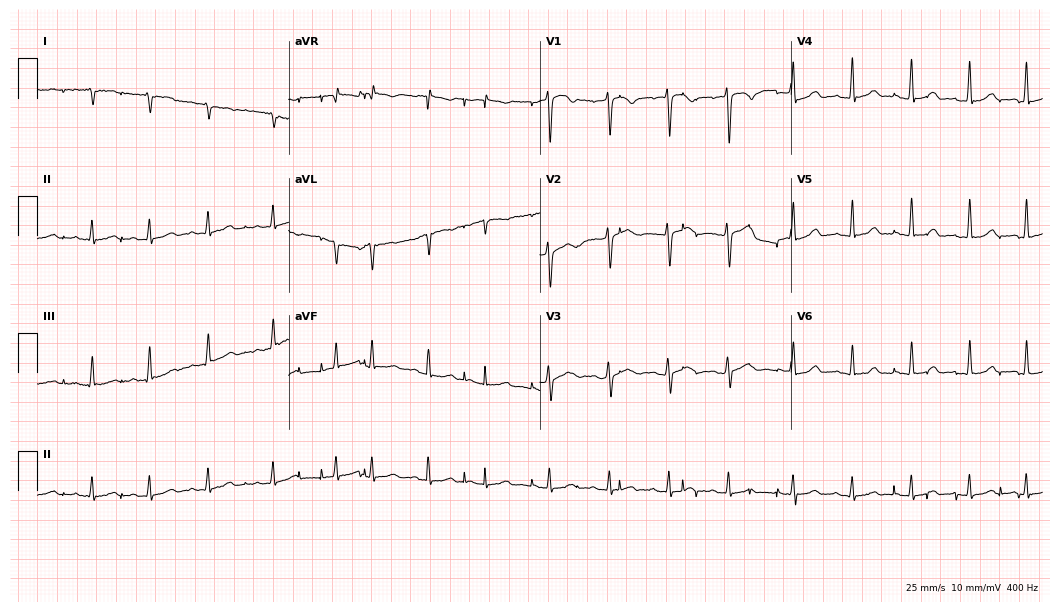
Standard 12-lead ECG recorded from a 33-year-old female patient. None of these six findings is recorded: first-degree AV block, right bundle branch block (RBBB), left bundle branch block (LBBB), sinus bradycardia, atrial fibrillation (AF), sinus tachycardia. Other findings, if any, are not listed.